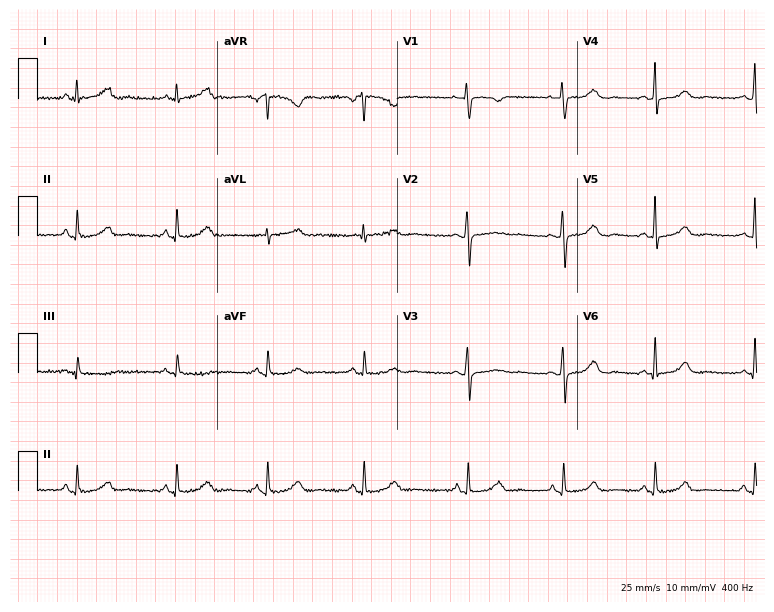
Standard 12-lead ECG recorded from a 28-year-old female. None of these six findings is recorded: first-degree AV block, right bundle branch block, left bundle branch block, sinus bradycardia, atrial fibrillation, sinus tachycardia. Other findings, if any, are not listed.